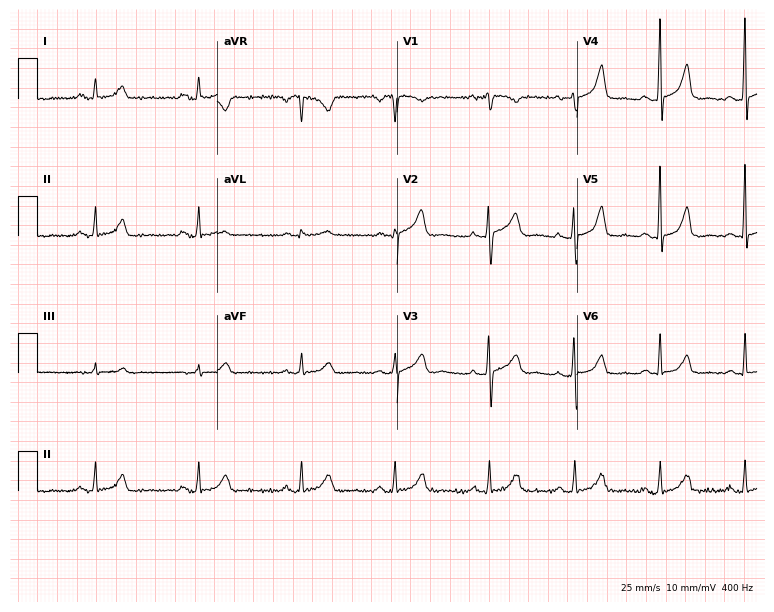
Resting 12-lead electrocardiogram. Patient: a female, 41 years old. Read as a normal ECG.